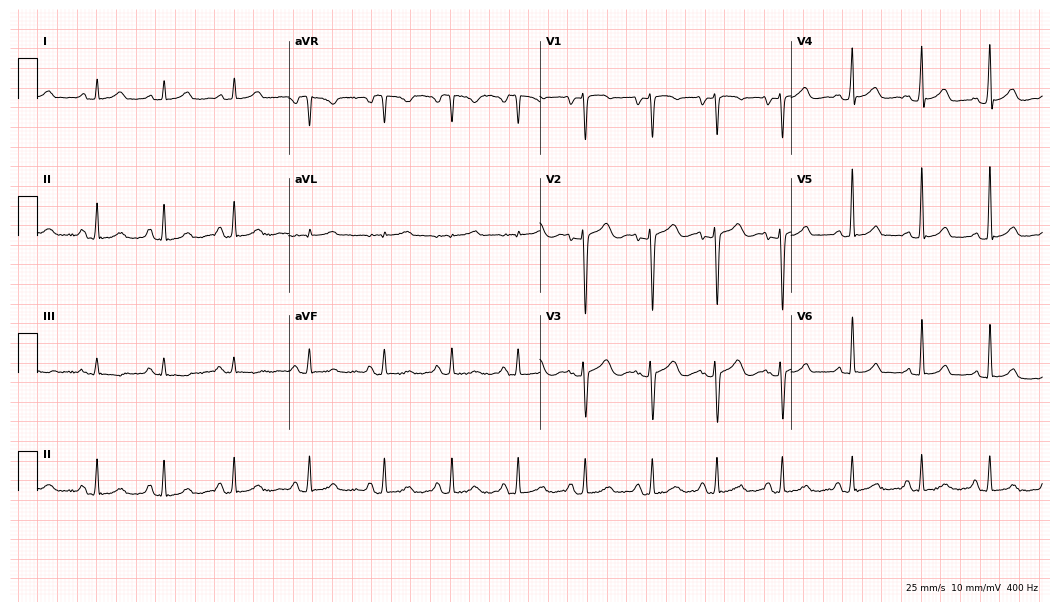
Resting 12-lead electrocardiogram (10.2-second recording at 400 Hz). Patient: a woman, 30 years old. None of these six findings is recorded: first-degree AV block, right bundle branch block, left bundle branch block, sinus bradycardia, atrial fibrillation, sinus tachycardia. Other findings, if any, are not listed.